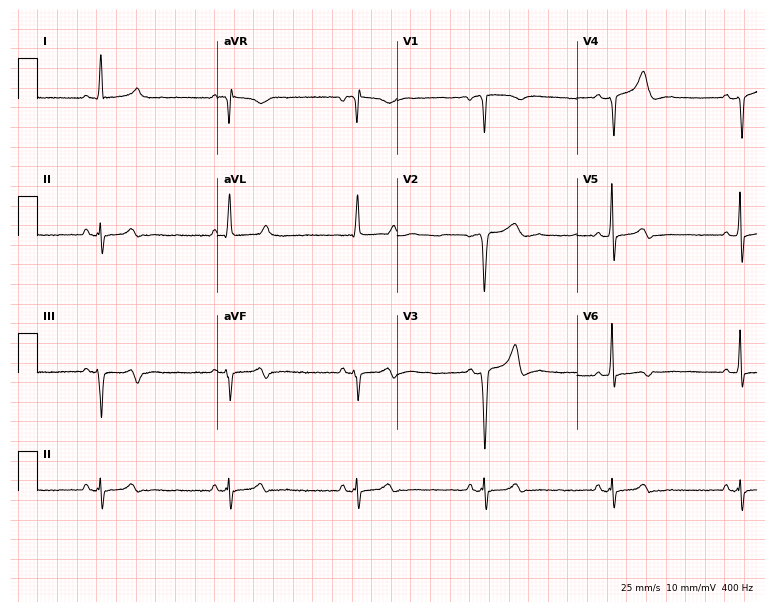
12-lead ECG (7.3-second recording at 400 Hz) from an 85-year-old man. Findings include sinus bradycardia (a sinus rate of 50 beats per minute or less).